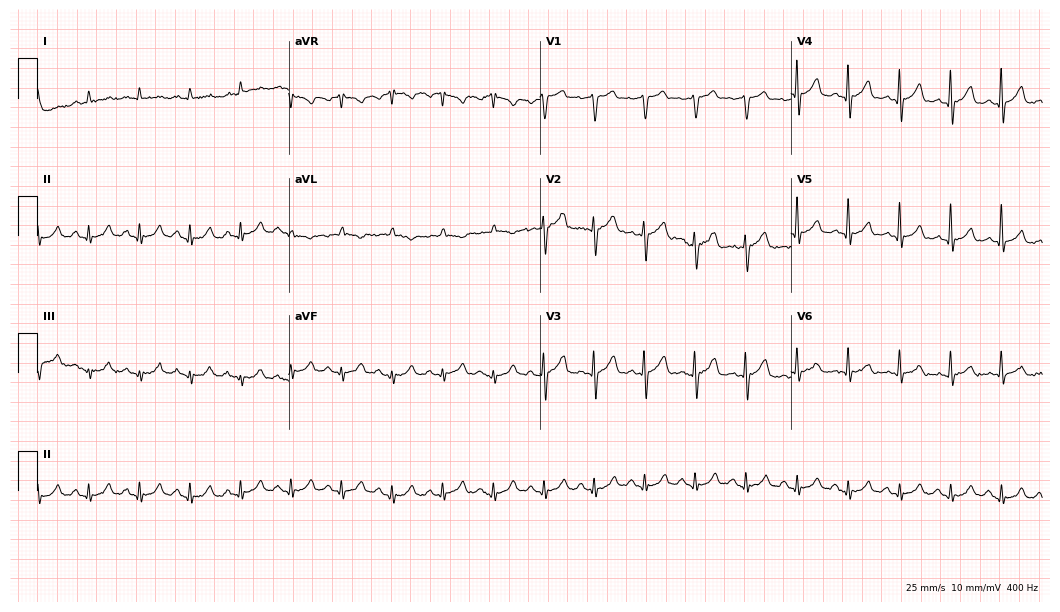
12-lead ECG from a 53-year-old female (10.2-second recording at 400 Hz). Shows sinus tachycardia (a sinus rate of 100 beats per minute or more).